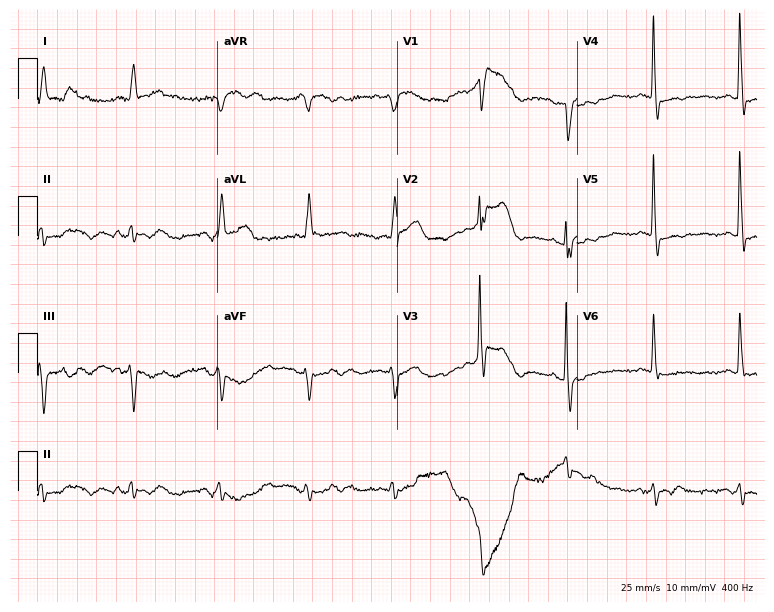
12-lead ECG (7.3-second recording at 400 Hz) from a male, 81 years old. Screened for six findings — first-degree AV block, right bundle branch block, left bundle branch block, sinus bradycardia, atrial fibrillation, sinus tachycardia — none is recorded. Other findings, if any, are not listed.